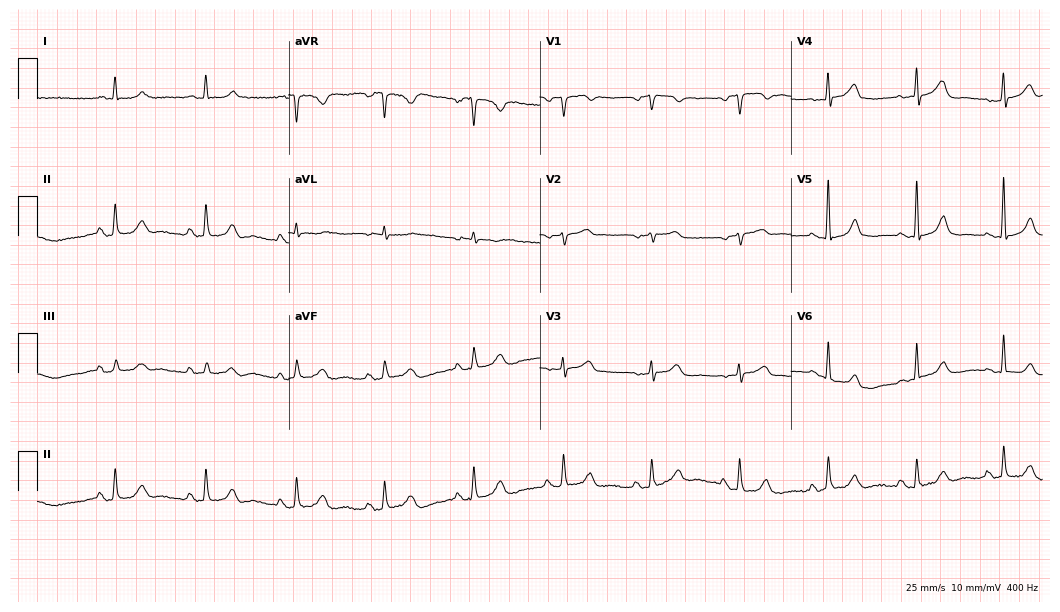
Standard 12-lead ECG recorded from a female patient, 78 years old (10.2-second recording at 400 Hz). Read as a normal ECG.